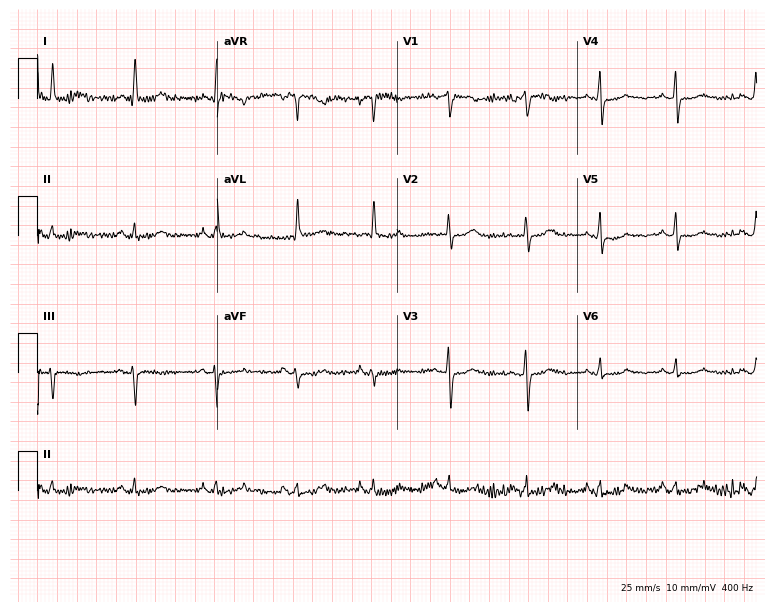
12-lead ECG from a 73-year-old female patient (7.3-second recording at 400 Hz). No first-degree AV block, right bundle branch block, left bundle branch block, sinus bradycardia, atrial fibrillation or sinus tachycardia recorded for this tracing. Other findings, if any, are not listed.